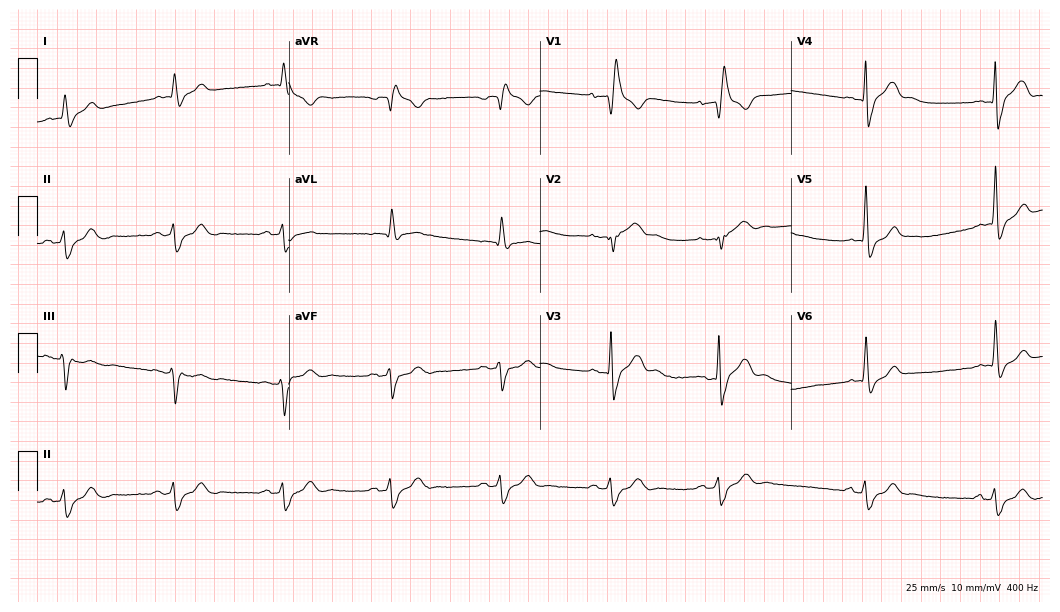
ECG — a 69-year-old man. Findings include right bundle branch block (RBBB).